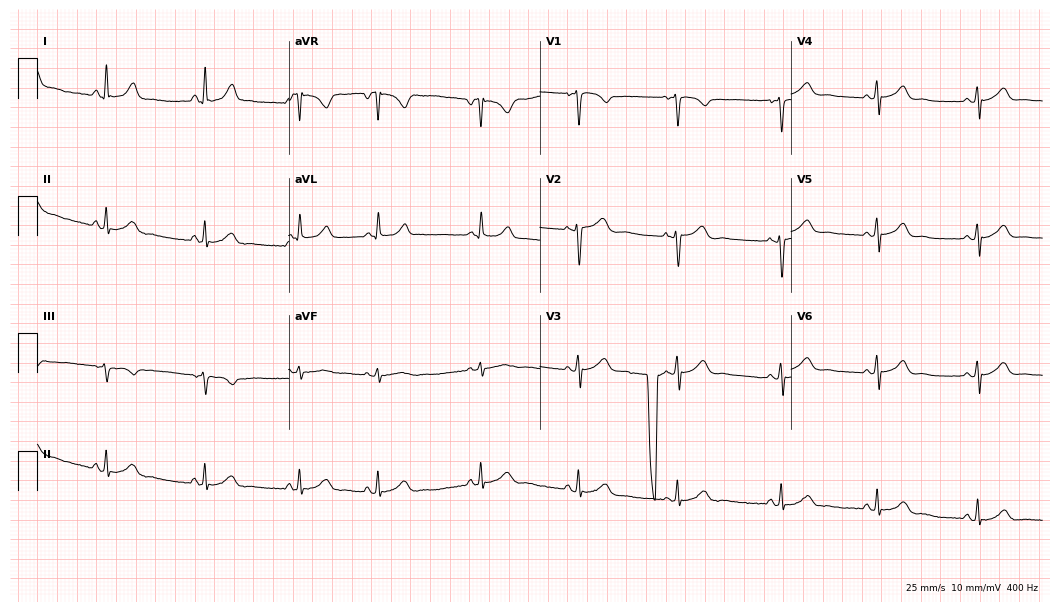
Electrocardiogram, a 22-year-old female. Overall reading on record: normal ECG.